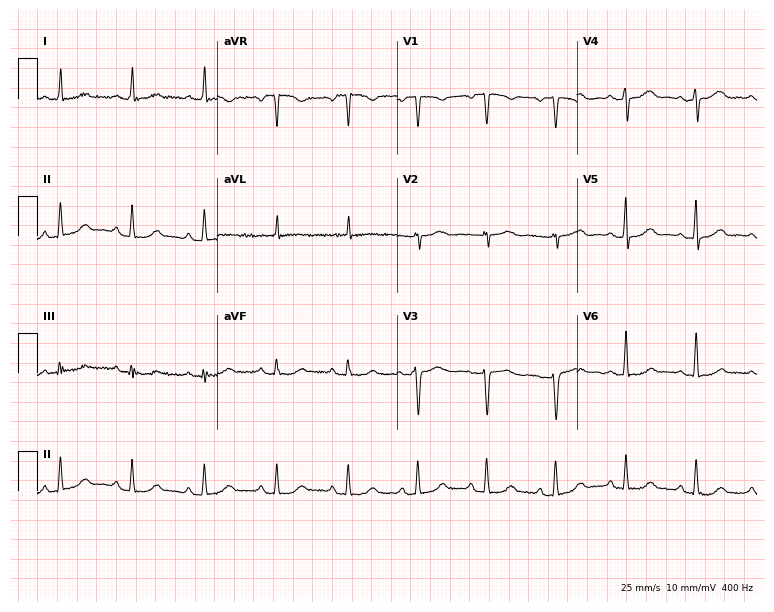
12-lead ECG from a 56-year-old female patient. No first-degree AV block, right bundle branch block (RBBB), left bundle branch block (LBBB), sinus bradycardia, atrial fibrillation (AF) or sinus tachycardia recorded for this tracing. Other findings, if any, are not listed.